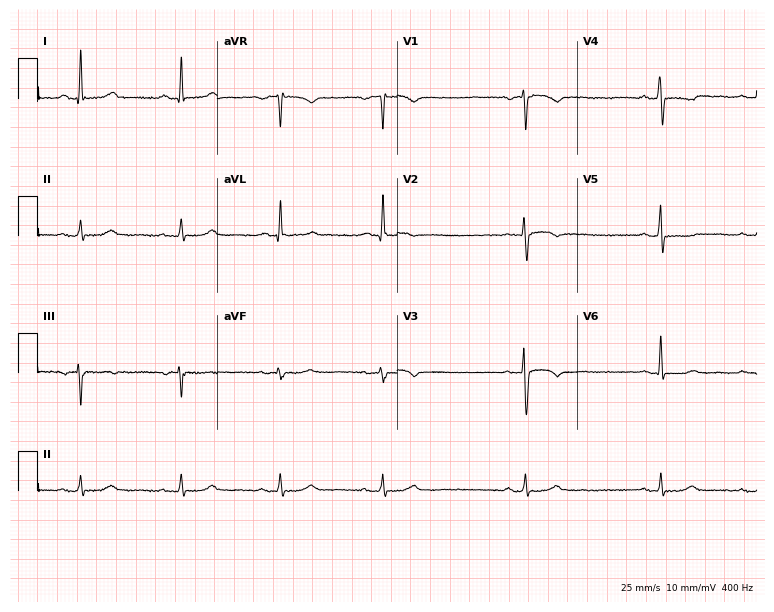
Electrocardiogram (7.3-second recording at 400 Hz), a 50-year-old female patient. Of the six screened findings (first-degree AV block, right bundle branch block, left bundle branch block, sinus bradycardia, atrial fibrillation, sinus tachycardia), none is recorded.